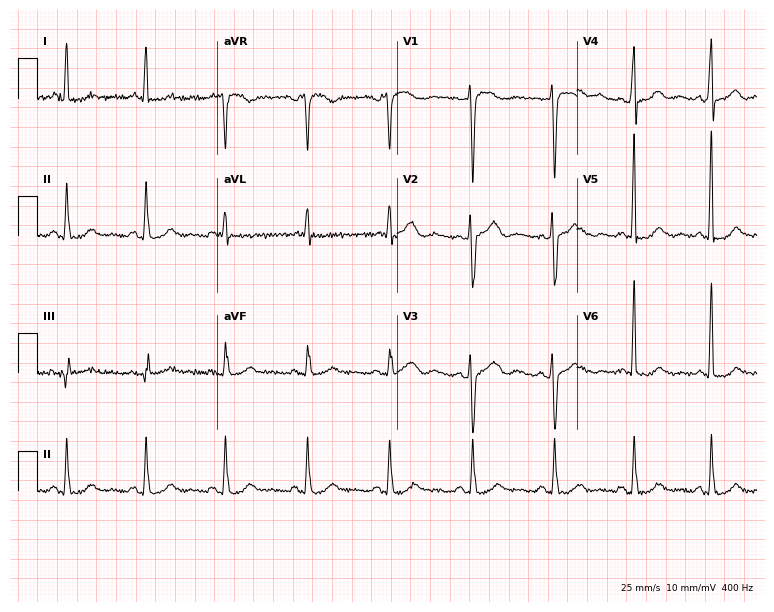
Electrocardiogram (7.3-second recording at 400 Hz), a 48-year-old female. Of the six screened findings (first-degree AV block, right bundle branch block (RBBB), left bundle branch block (LBBB), sinus bradycardia, atrial fibrillation (AF), sinus tachycardia), none is recorded.